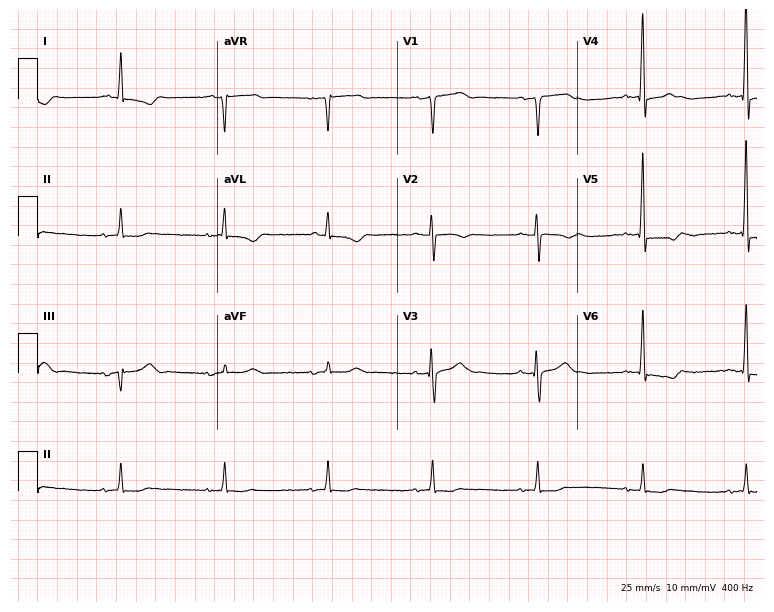
12-lead ECG (7.3-second recording at 400 Hz) from a 76-year-old male patient. Screened for six findings — first-degree AV block, right bundle branch block, left bundle branch block, sinus bradycardia, atrial fibrillation, sinus tachycardia — none is recorded.